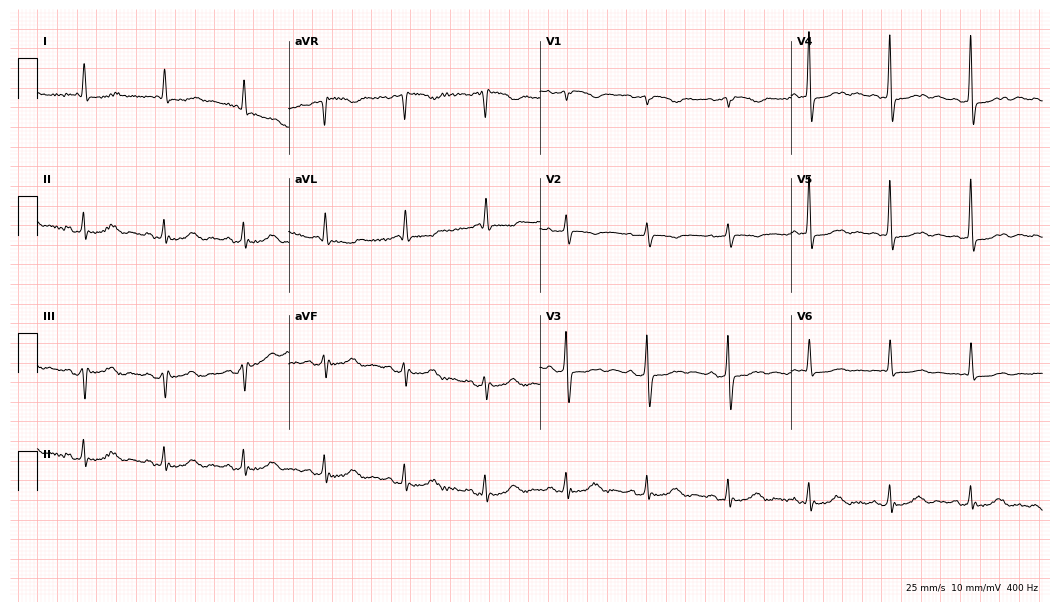
12-lead ECG (10.2-second recording at 400 Hz) from an 87-year-old female. Screened for six findings — first-degree AV block, right bundle branch block, left bundle branch block, sinus bradycardia, atrial fibrillation, sinus tachycardia — none is recorded.